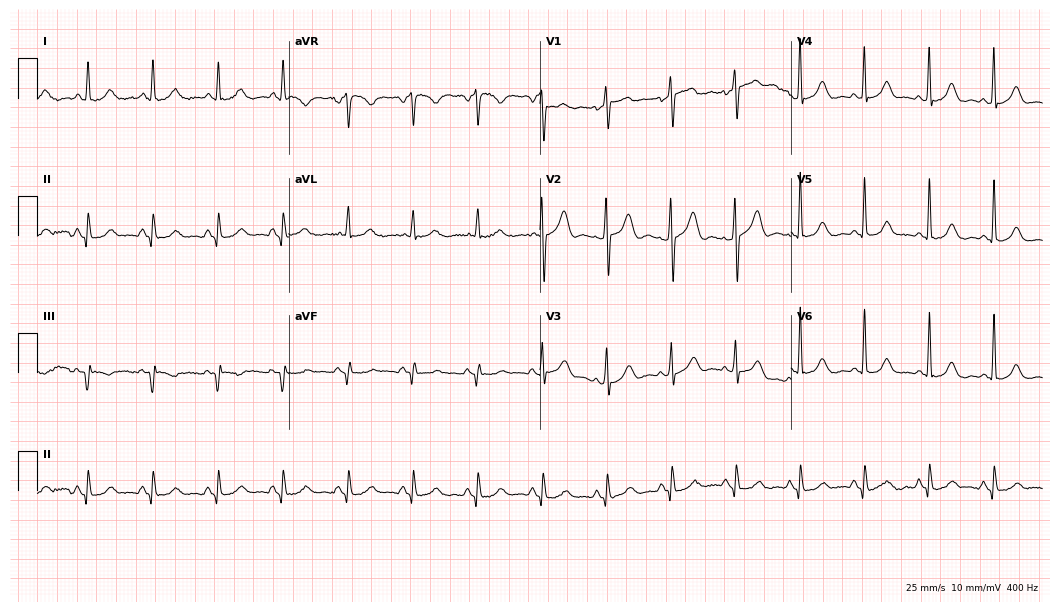
Electrocardiogram, a female, 79 years old. Of the six screened findings (first-degree AV block, right bundle branch block, left bundle branch block, sinus bradycardia, atrial fibrillation, sinus tachycardia), none is recorded.